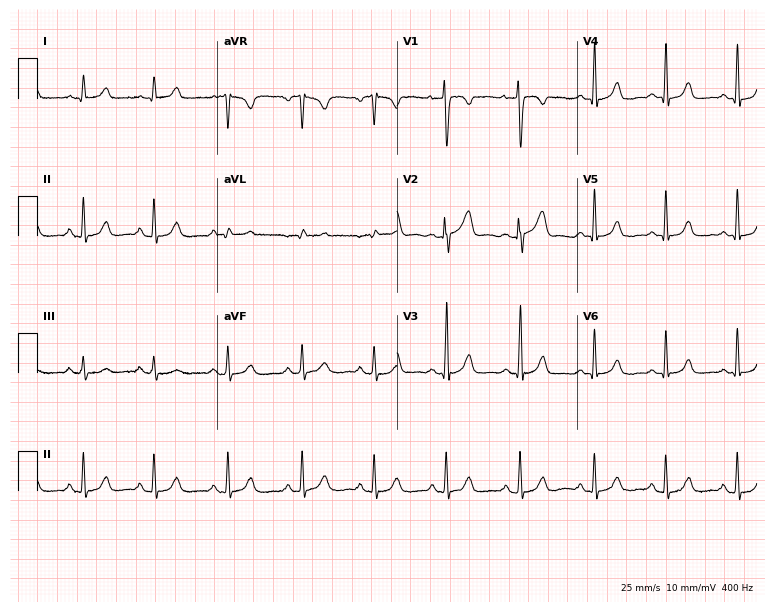
12-lead ECG from a 22-year-old female patient. No first-degree AV block, right bundle branch block, left bundle branch block, sinus bradycardia, atrial fibrillation or sinus tachycardia recorded for this tracing. Other findings, if any, are not listed.